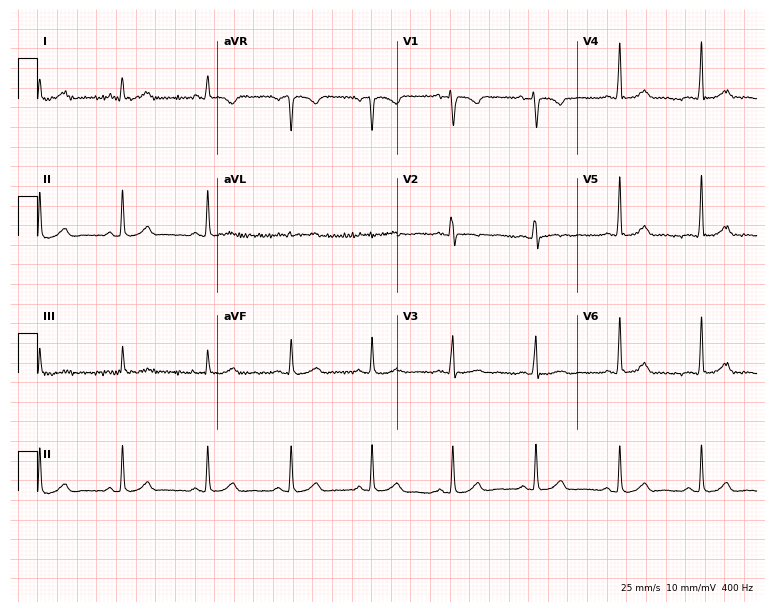
Standard 12-lead ECG recorded from a 42-year-old woman. None of these six findings is recorded: first-degree AV block, right bundle branch block, left bundle branch block, sinus bradycardia, atrial fibrillation, sinus tachycardia. Other findings, if any, are not listed.